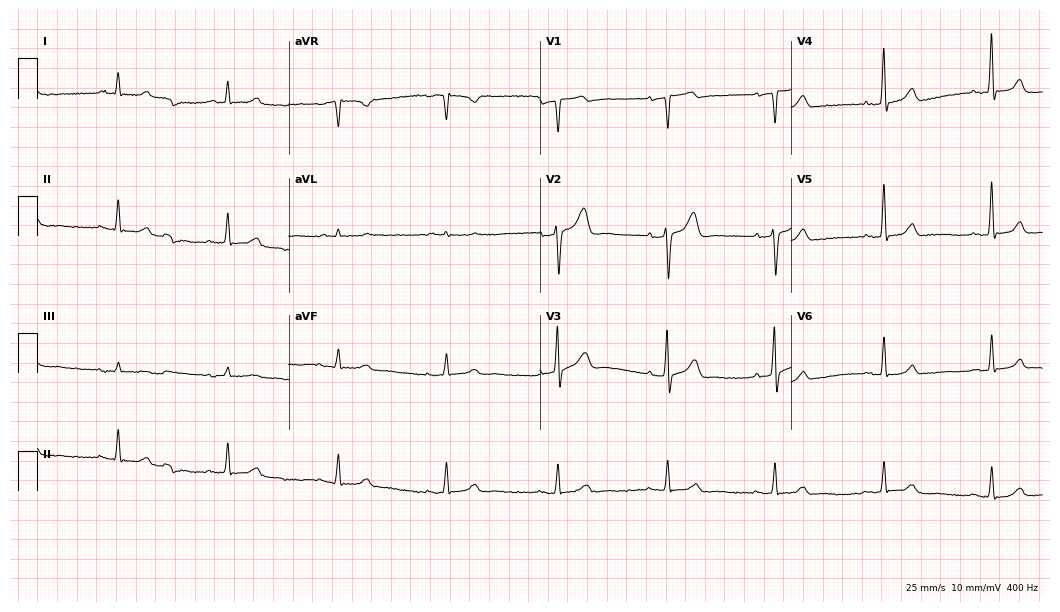
ECG (10.2-second recording at 400 Hz) — a male patient, 79 years old. Labelled as a normal ECG.